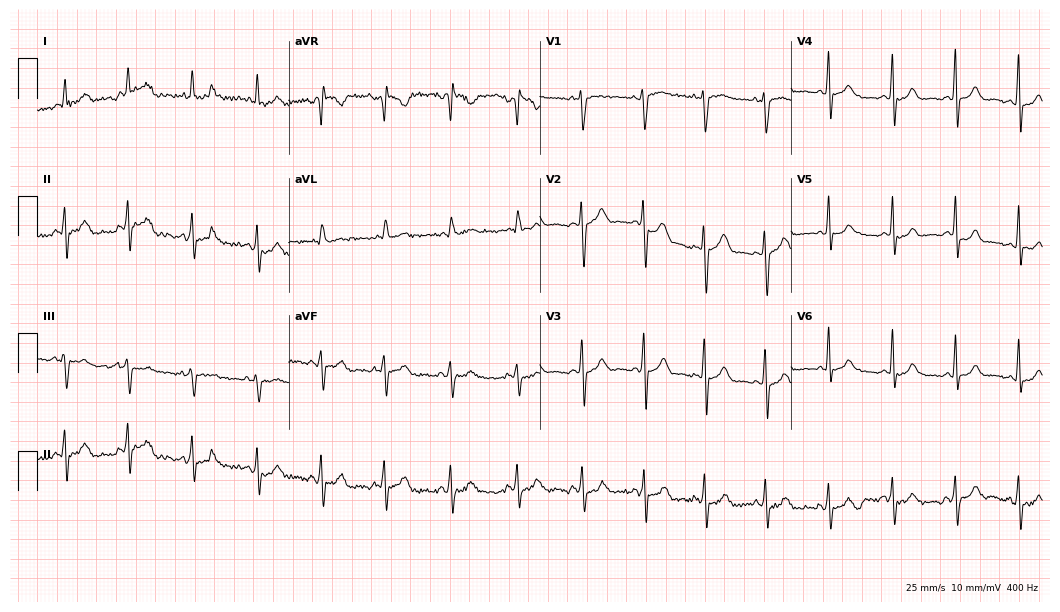
Resting 12-lead electrocardiogram. Patient: a 29-year-old woman. None of these six findings is recorded: first-degree AV block, right bundle branch block, left bundle branch block, sinus bradycardia, atrial fibrillation, sinus tachycardia. Other findings, if any, are not listed.